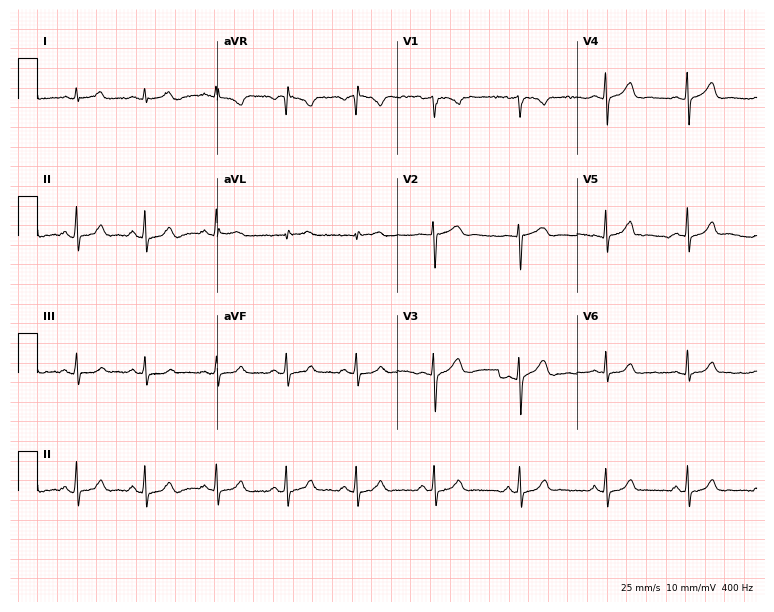
12-lead ECG (7.3-second recording at 400 Hz) from a 23-year-old female patient. Screened for six findings — first-degree AV block, right bundle branch block (RBBB), left bundle branch block (LBBB), sinus bradycardia, atrial fibrillation (AF), sinus tachycardia — none is recorded. Findings outside these six are not listed.